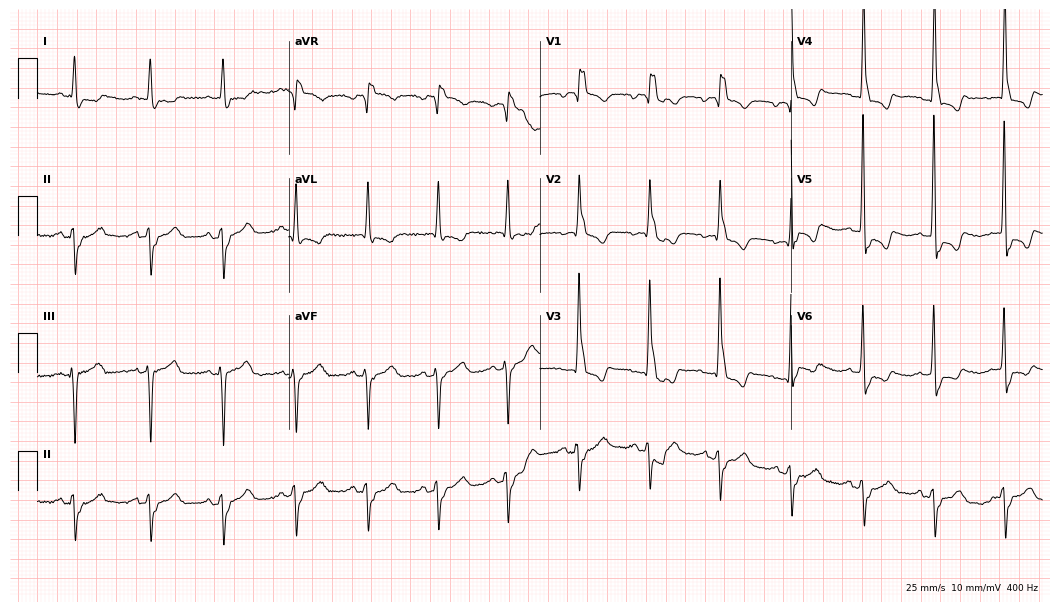
Electrocardiogram (10.2-second recording at 400 Hz), a female, 79 years old. Interpretation includes right bundle branch block.